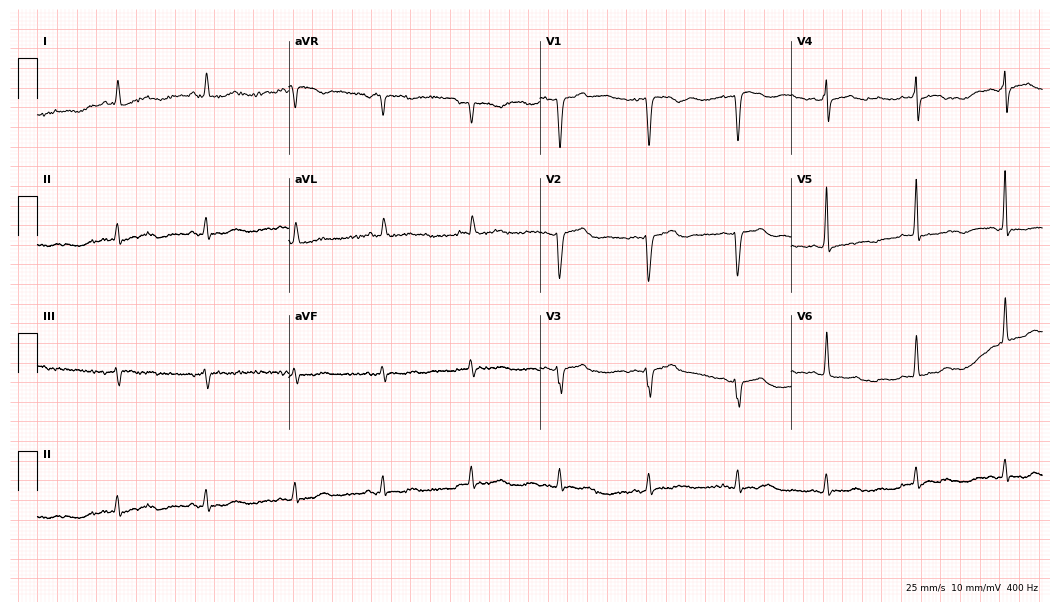
Resting 12-lead electrocardiogram (10.2-second recording at 400 Hz). Patient: a 64-year-old male. None of these six findings is recorded: first-degree AV block, right bundle branch block (RBBB), left bundle branch block (LBBB), sinus bradycardia, atrial fibrillation (AF), sinus tachycardia.